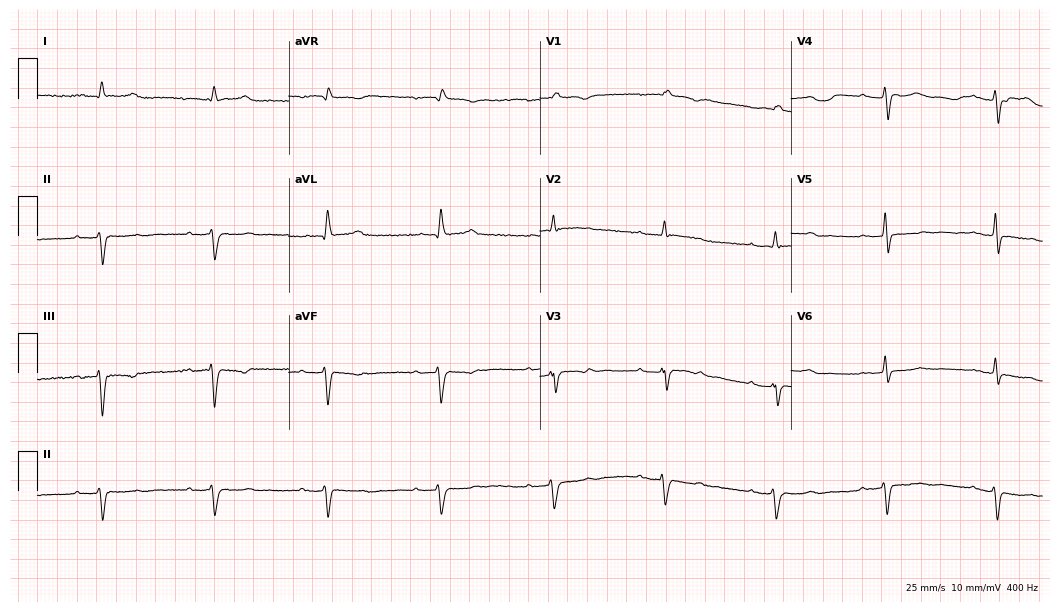
12-lead ECG from a 72-year-old man. Shows first-degree AV block, right bundle branch block (RBBB).